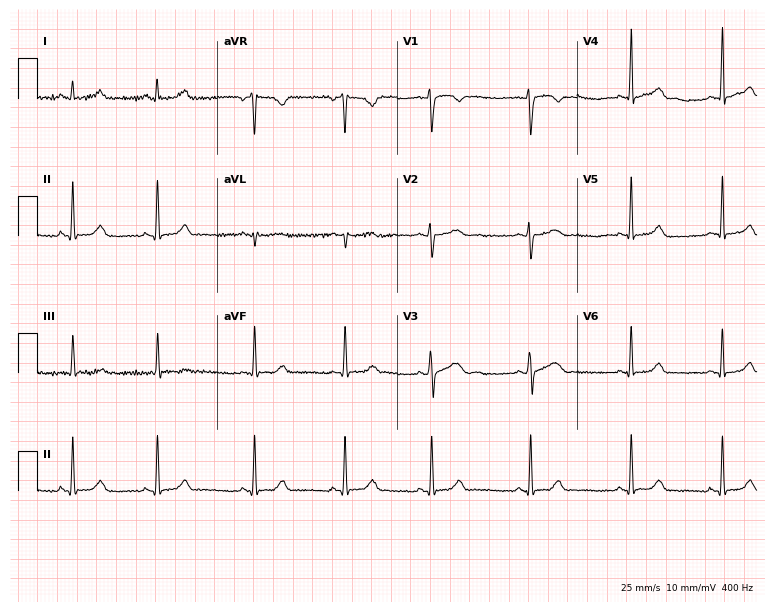
Standard 12-lead ECG recorded from an 18-year-old woman. None of these six findings is recorded: first-degree AV block, right bundle branch block (RBBB), left bundle branch block (LBBB), sinus bradycardia, atrial fibrillation (AF), sinus tachycardia.